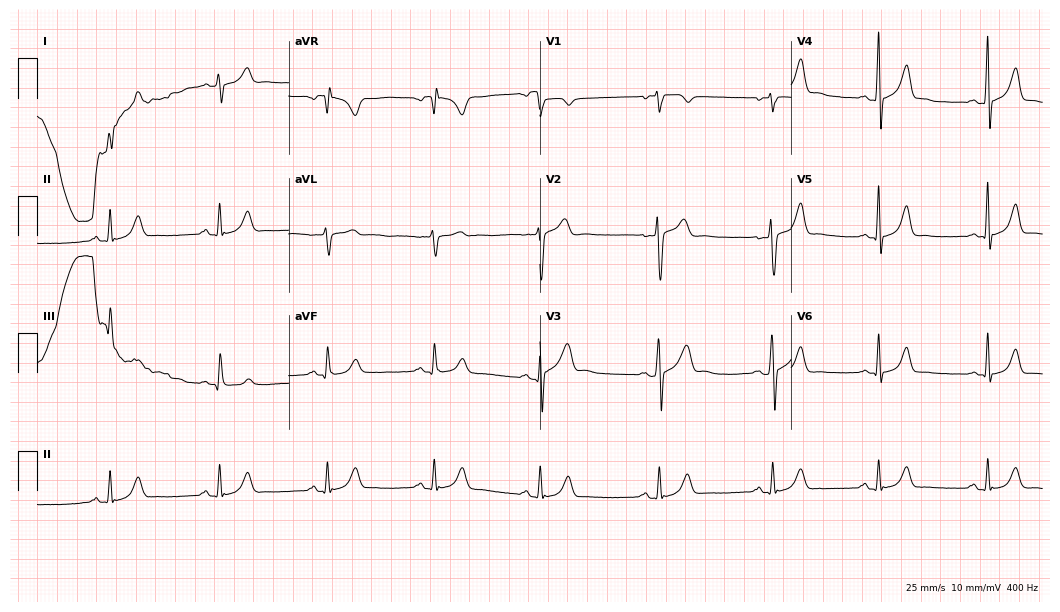
Standard 12-lead ECG recorded from a 24-year-old male patient. None of these six findings is recorded: first-degree AV block, right bundle branch block, left bundle branch block, sinus bradycardia, atrial fibrillation, sinus tachycardia.